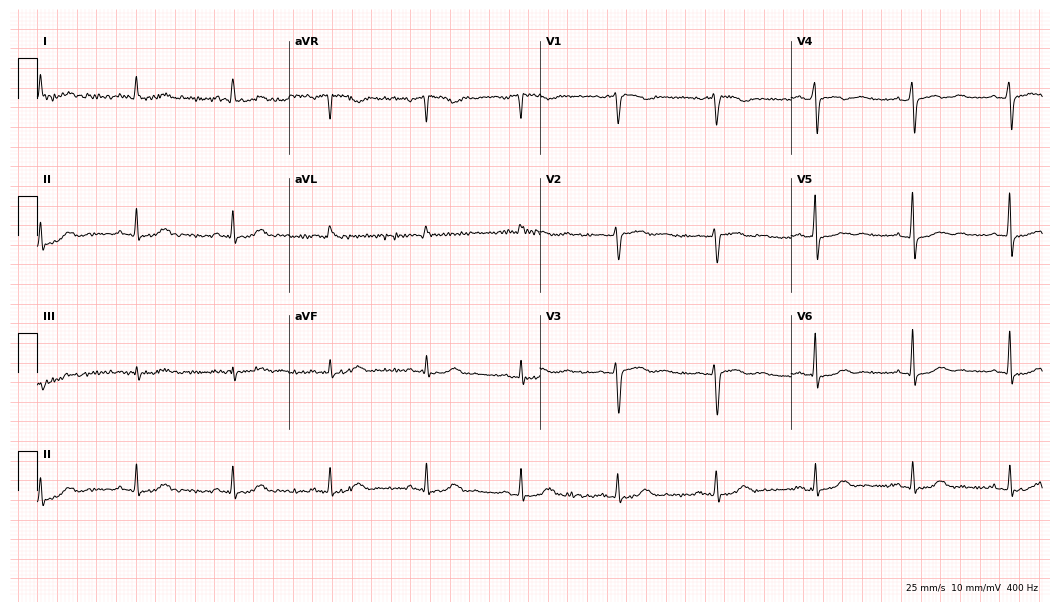
Resting 12-lead electrocardiogram (10.2-second recording at 400 Hz). Patient: a 50-year-old woman. None of these six findings is recorded: first-degree AV block, right bundle branch block, left bundle branch block, sinus bradycardia, atrial fibrillation, sinus tachycardia.